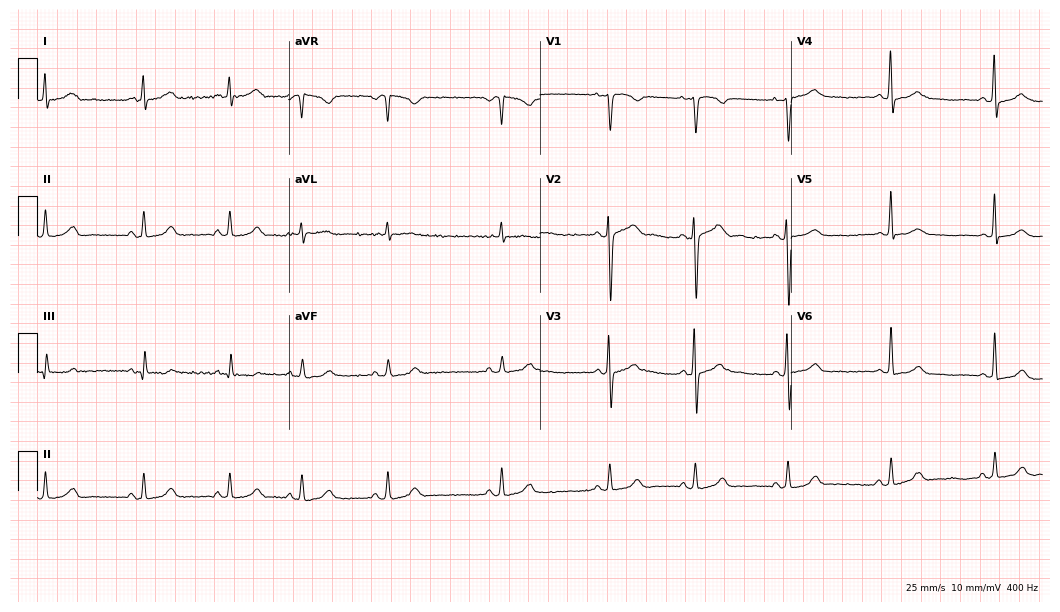
12-lead ECG from a female patient, 21 years old (10.2-second recording at 400 Hz). Recorded interpretation: within normal limits.